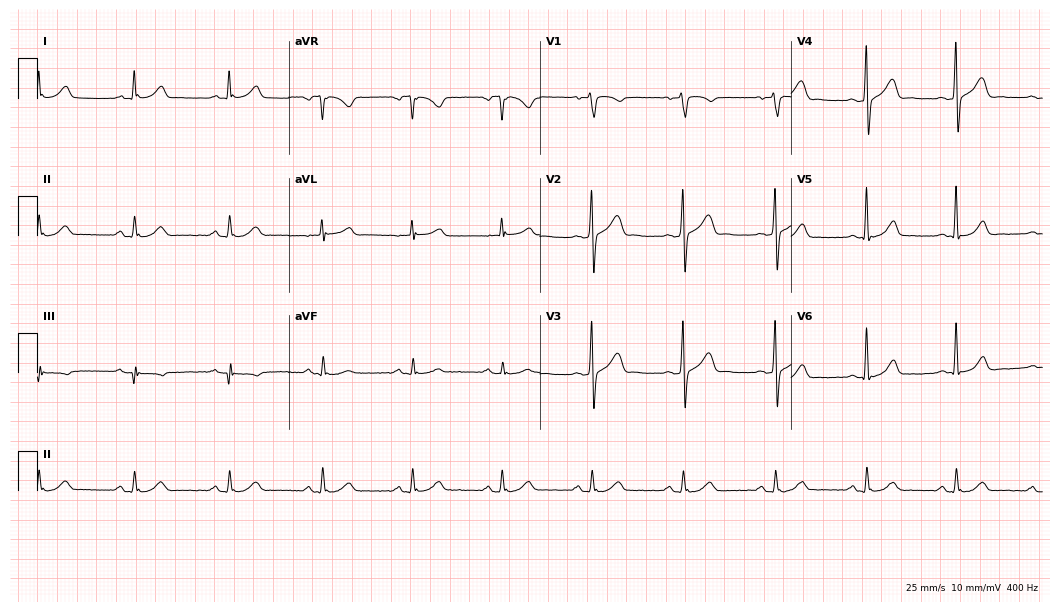
Standard 12-lead ECG recorded from a man, 47 years old (10.2-second recording at 400 Hz). Read as a normal ECG.